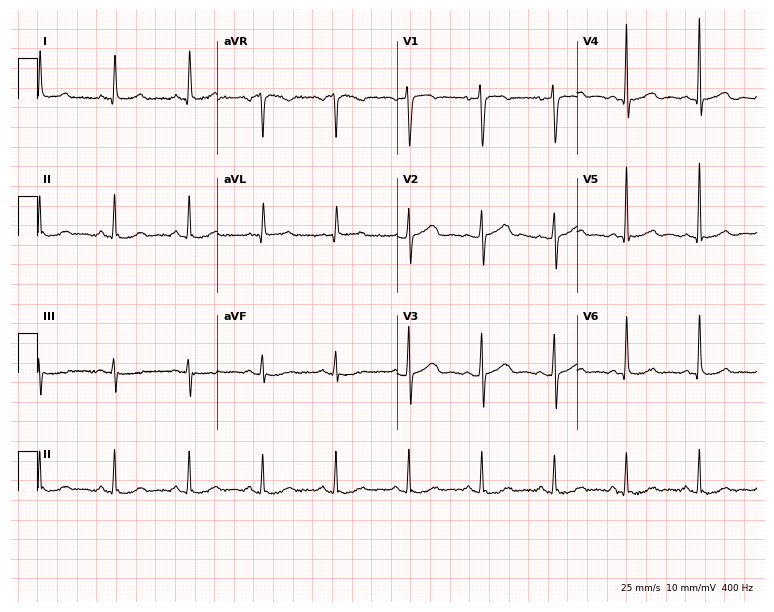
Standard 12-lead ECG recorded from a 63-year-old female (7.3-second recording at 400 Hz). Read as a normal ECG.